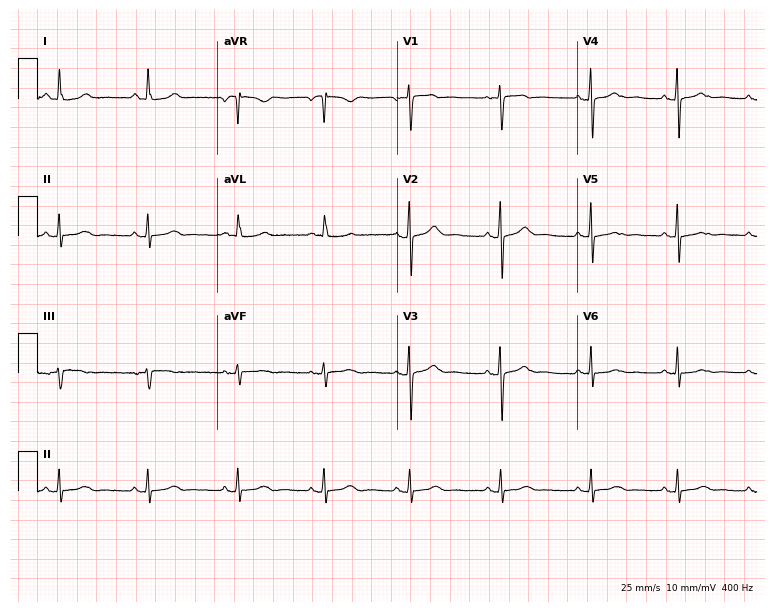
ECG (7.3-second recording at 400 Hz) — a female, 54 years old. Screened for six findings — first-degree AV block, right bundle branch block, left bundle branch block, sinus bradycardia, atrial fibrillation, sinus tachycardia — none is recorded. Other findings, if any, are not listed.